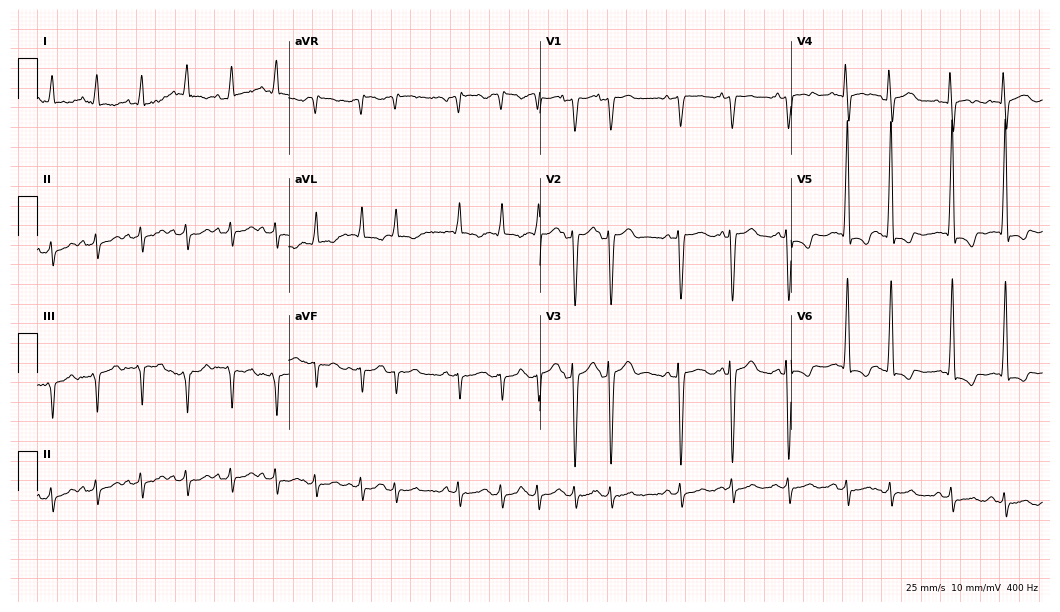
12-lead ECG from a 76-year-old female. Findings include sinus tachycardia (a sinus rate of 100 beats per minute or more).